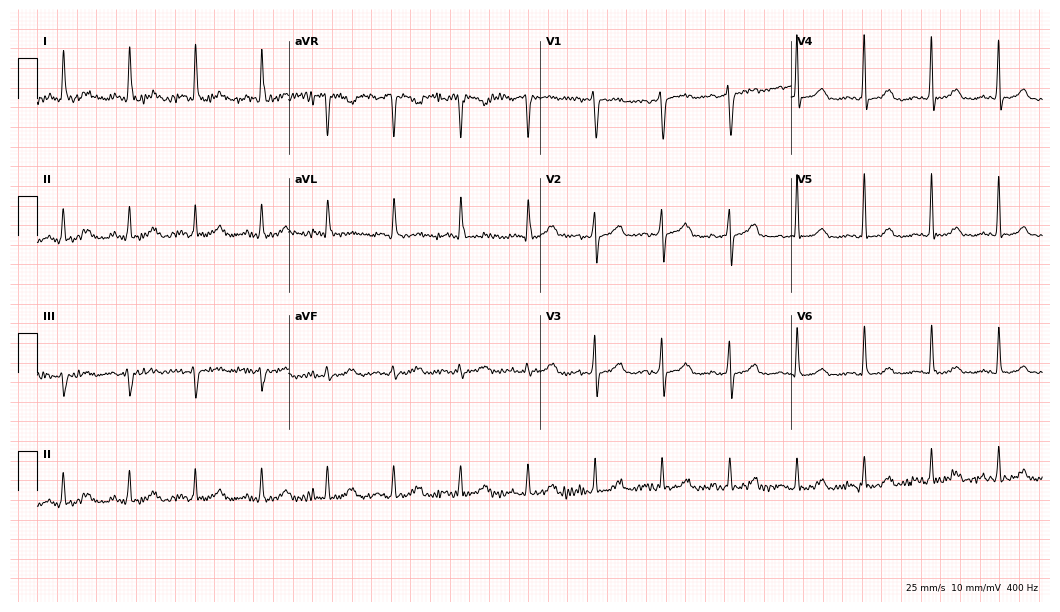
Standard 12-lead ECG recorded from a woman, 82 years old (10.2-second recording at 400 Hz). None of these six findings is recorded: first-degree AV block, right bundle branch block, left bundle branch block, sinus bradycardia, atrial fibrillation, sinus tachycardia. Only these six findings were labelled.